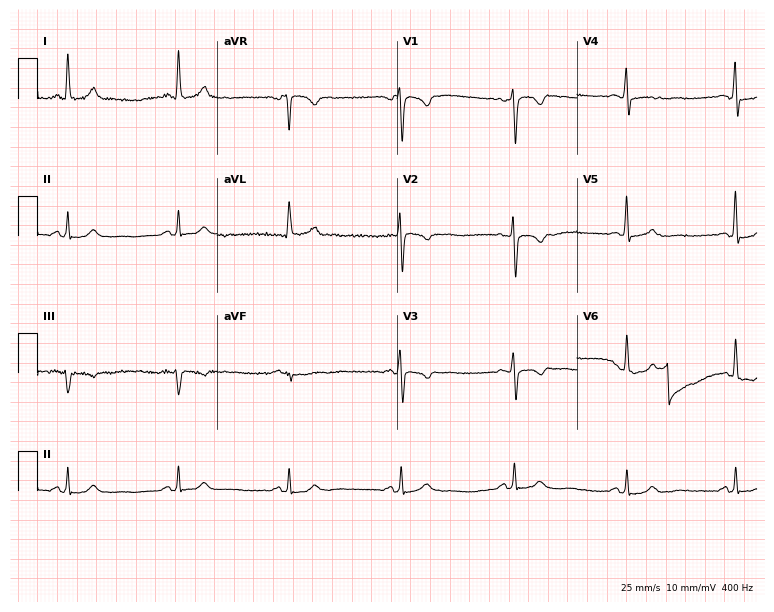
ECG (7.3-second recording at 400 Hz) — a female, 69 years old. Screened for six findings — first-degree AV block, right bundle branch block (RBBB), left bundle branch block (LBBB), sinus bradycardia, atrial fibrillation (AF), sinus tachycardia — none is recorded. Findings outside these six are not listed.